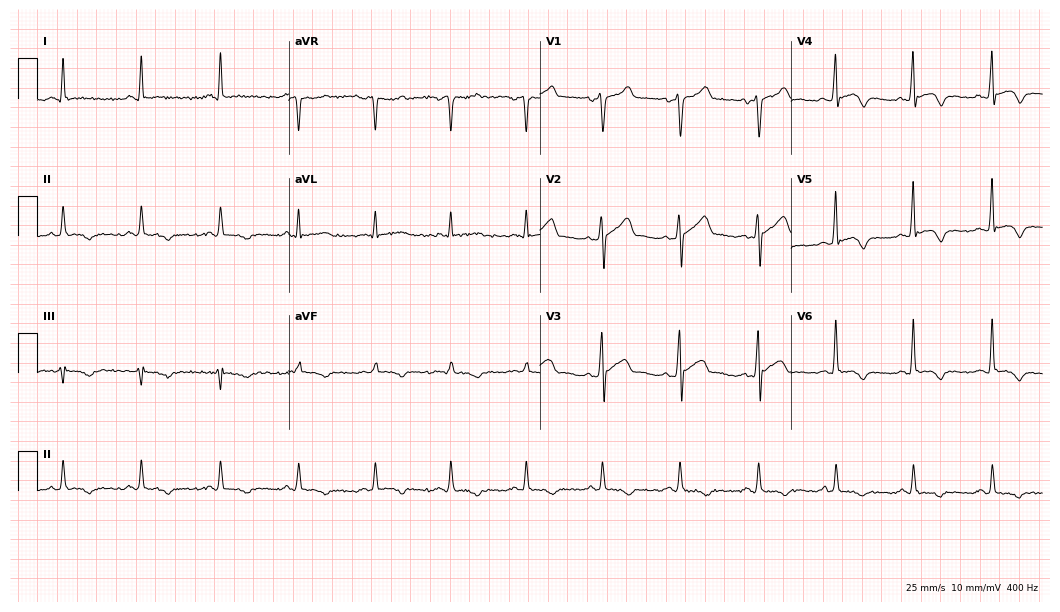
Standard 12-lead ECG recorded from a 30-year-old male patient. None of these six findings is recorded: first-degree AV block, right bundle branch block (RBBB), left bundle branch block (LBBB), sinus bradycardia, atrial fibrillation (AF), sinus tachycardia. Only these six findings were labelled.